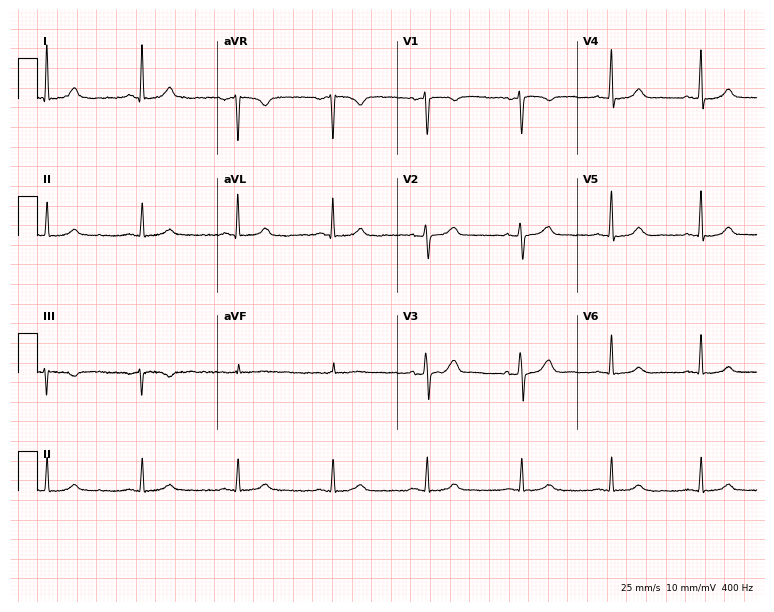
12-lead ECG from a female, 43 years old. Labelled as a normal ECG.